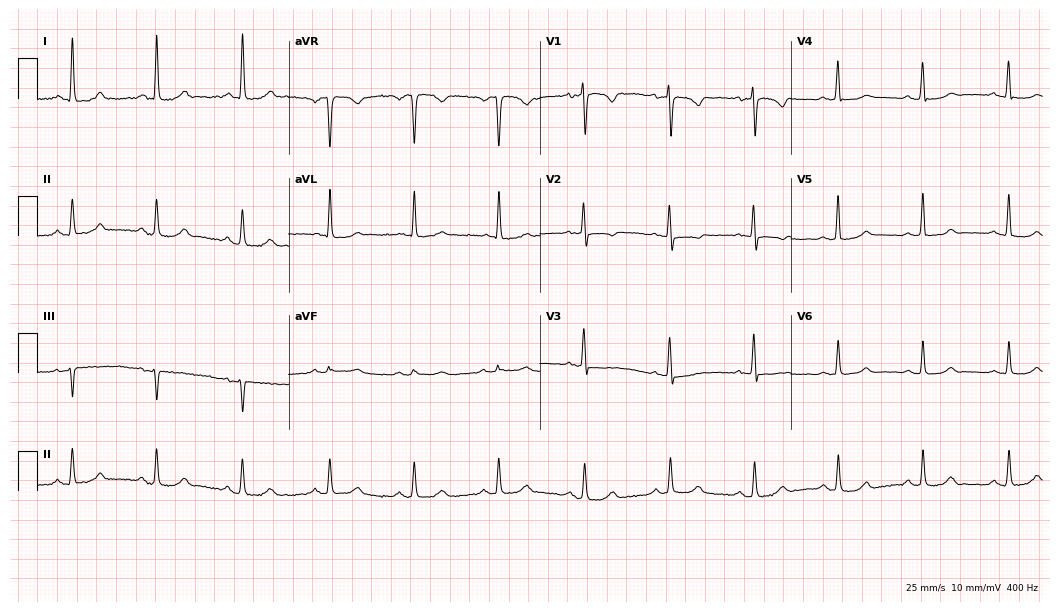
Resting 12-lead electrocardiogram. Patient: a woman, 65 years old. None of these six findings is recorded: first-degree AV block, right bundle branch block (RBBB), left bundle branch block (LBBB), sinus bradycardia, atrial fibrillation (AF), sinus tachycardia. Only these six findings were labelled.